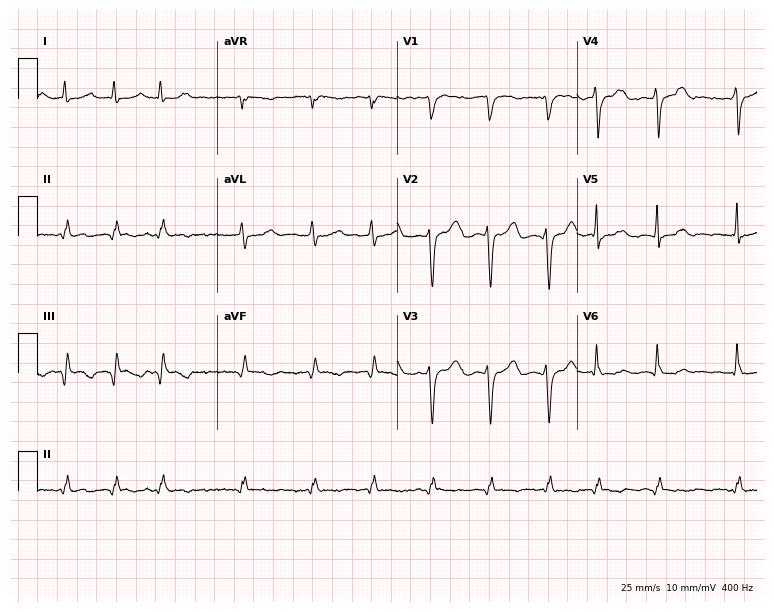
Resting 12-lead electrocardiogram. Patient: a male, 73 years old. The tracing shows atrial fibrillation.